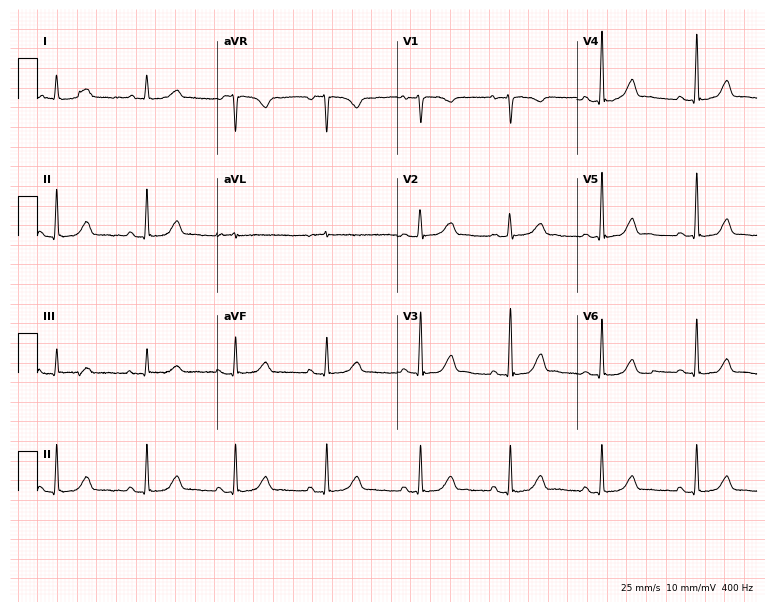
Resting 12-lead electrocardiogram (7.3-second recording at 400 Hz). Patient: a 48-year-old female. Read as a normal ECG.